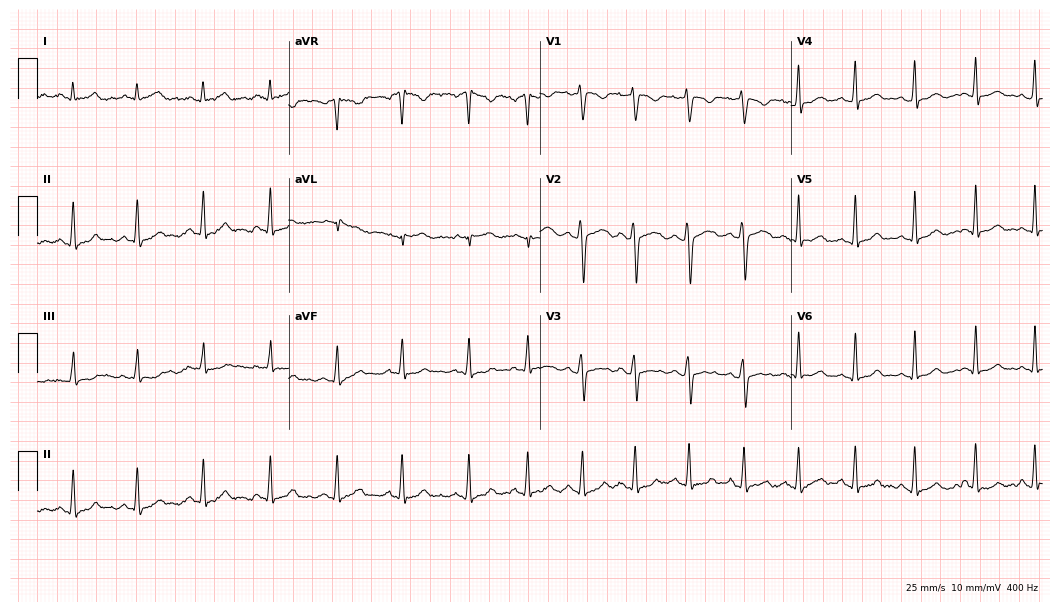
ECG (10.2-second recording at 400 Hz) — a 26-year-old female. Screened for six findings — first-degree AV block, right bundle branch block (RBBB), left bundle branch block (LBBB), sinus bradycardia, atrial fibrillation (AF), sinus tachycardia — none is recorded.